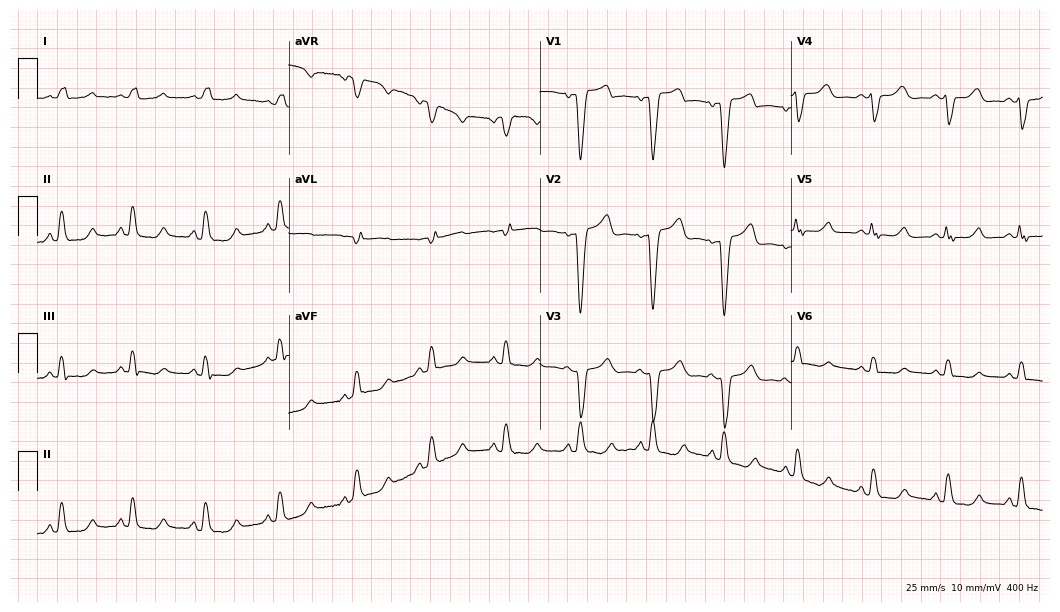
Electrocardiogram, a female, 41 years old. Interpretation includes left bundle branch block.